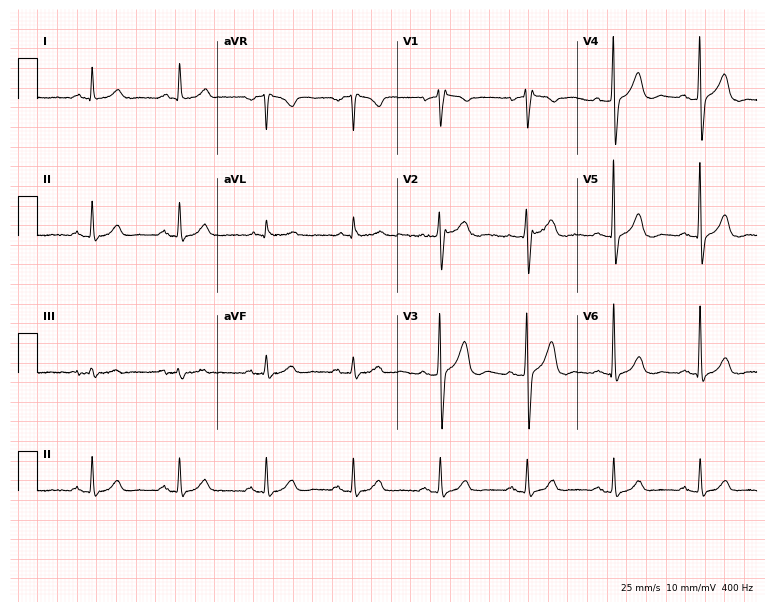
ECG (7.3-second recording at 400 Hz) — a 70-year-old male patient. Labelled as a normal ECG.